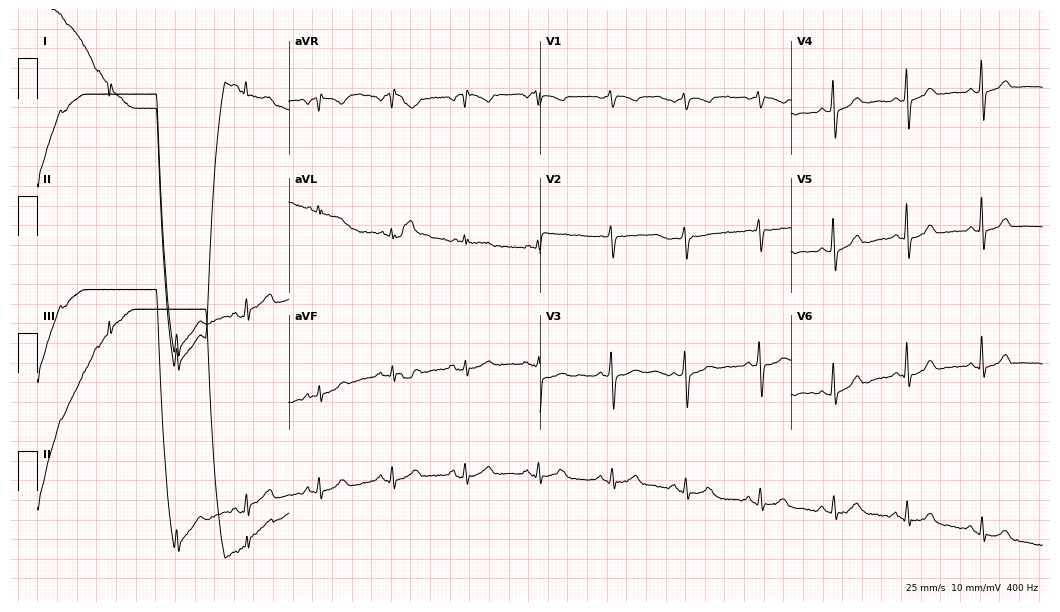
12-lead ECG from a female, 62 years old. Screened for six findings — first-degree AV block, right bundle branch block, left bundle branch block, sinus bradycardia, atrial fibrillation, sinus tachycardia — none is recorded.